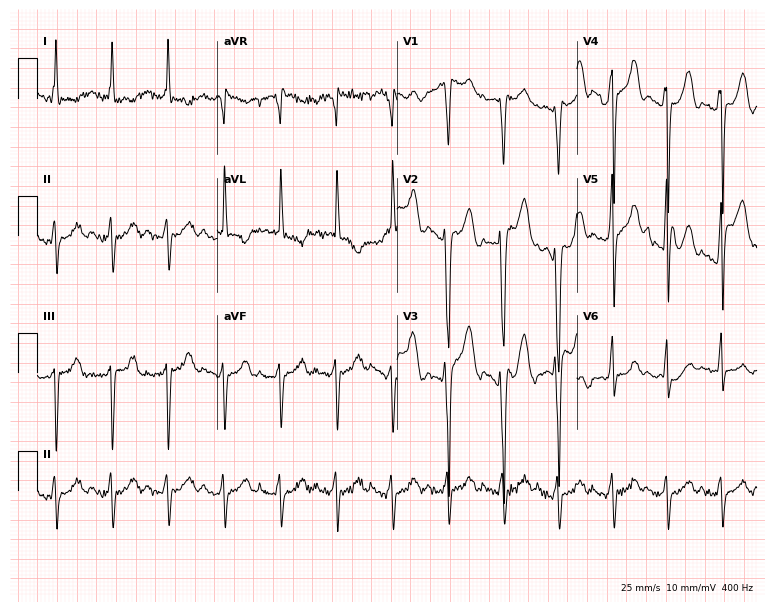
12-lead ECG from a man, 35 years old. Screened for six findings — first-degree AV block, right bundle branch block, left bundle branch block, sinus bradycardia, atrial fibrillation, sinus tachycardia — none is recorded. Findings outside these six are not listed.